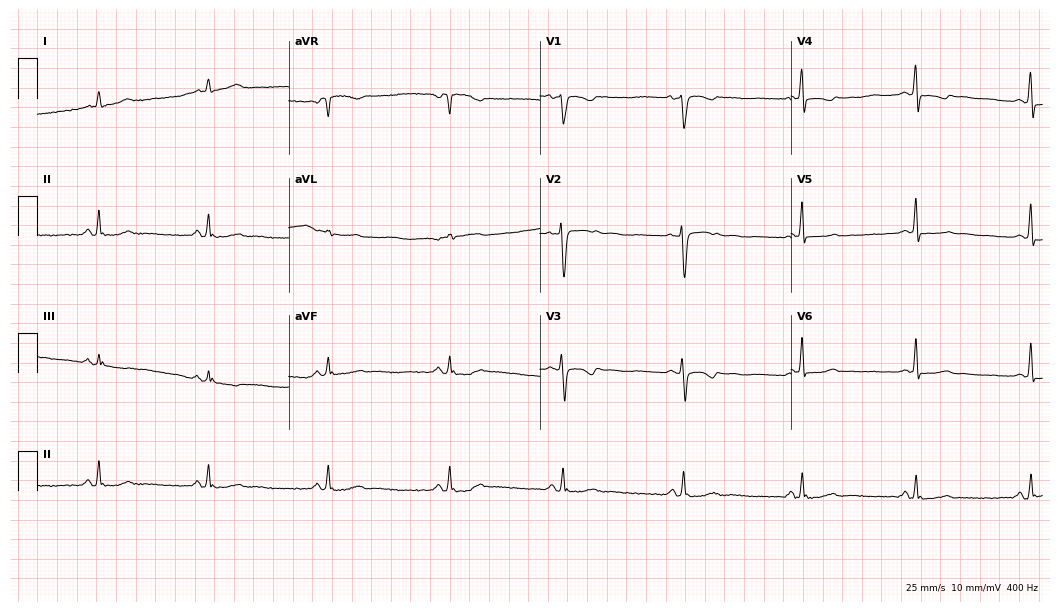
Standard 12-lead ECG recorded from a female, 33 years old (10.2-second recording at 400 Hz). None of these six findings is recorded: first-degree AV block, right bundle branch block, left bundle branch block, sinus bradycardia, atrial fibrillation, sinus tachycardia.